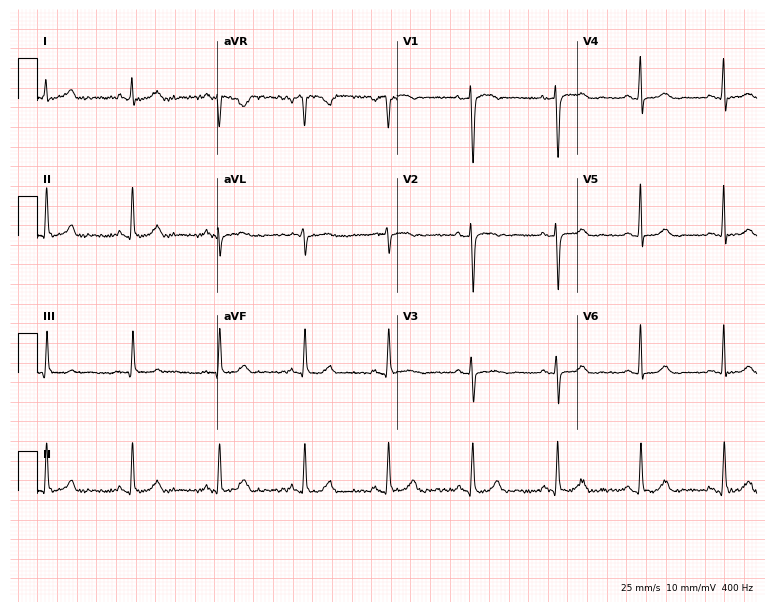
12-lead ECG from a woman, 51 years old (7.3-second recording at 400 Hz). No first-degree AV block, right bundle branch block, left bundle branch block, sinus bradycardia, atrial fibrillation or sinus tachycardia recorded for this tracing.